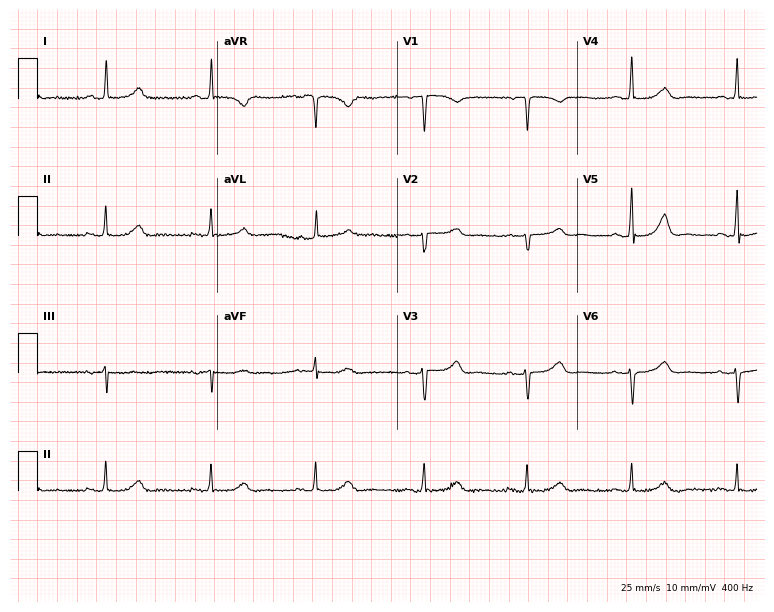
ECG — a woman, 60 years old. Labelled as a normal ECG.